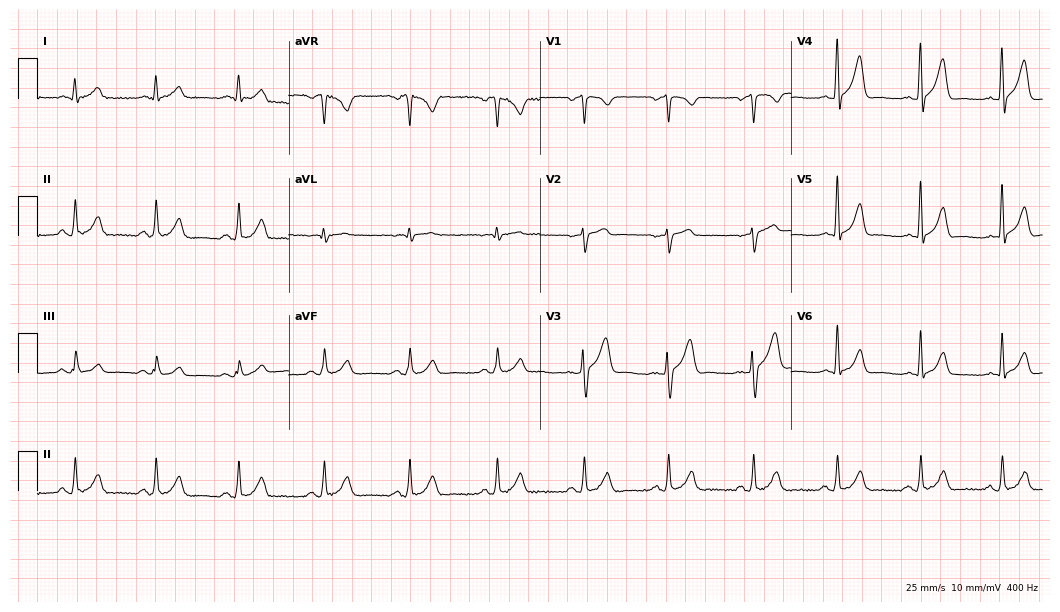
Electrocardiogram, a man, 32 years old. Overall reading on record: normal ECG.